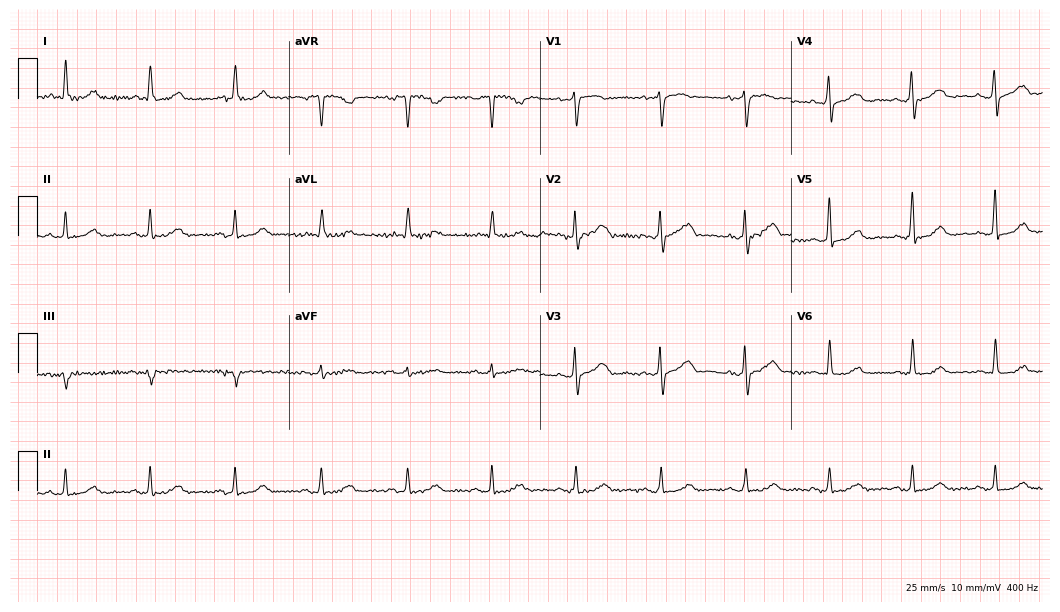
12-lead ECG from a 53-year-old woman. Screened for six findings — first-degree AV block, right bundle branch block, left bundle branch block, sinus bradycardia, atrial fibrillation, sinus tachycardia — none is recorded.